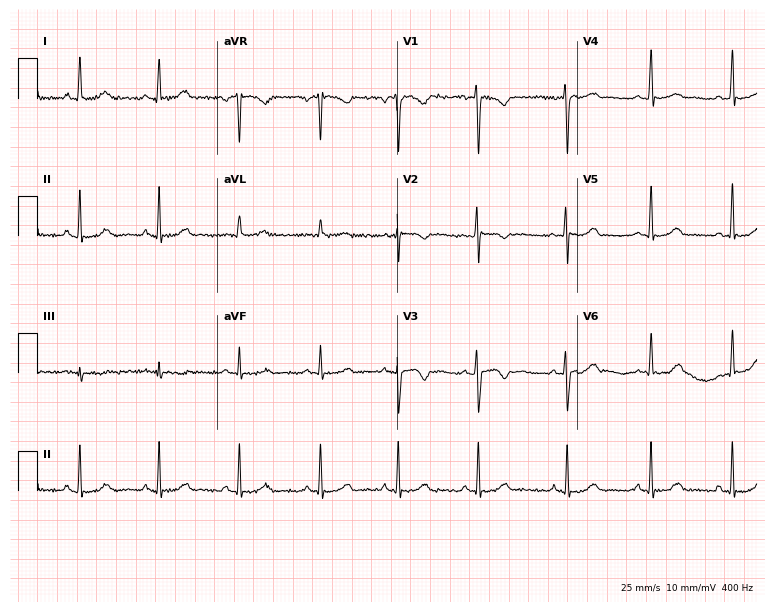
12-lead ECG from an 18-year-old female. Labelled as a normal ECG.